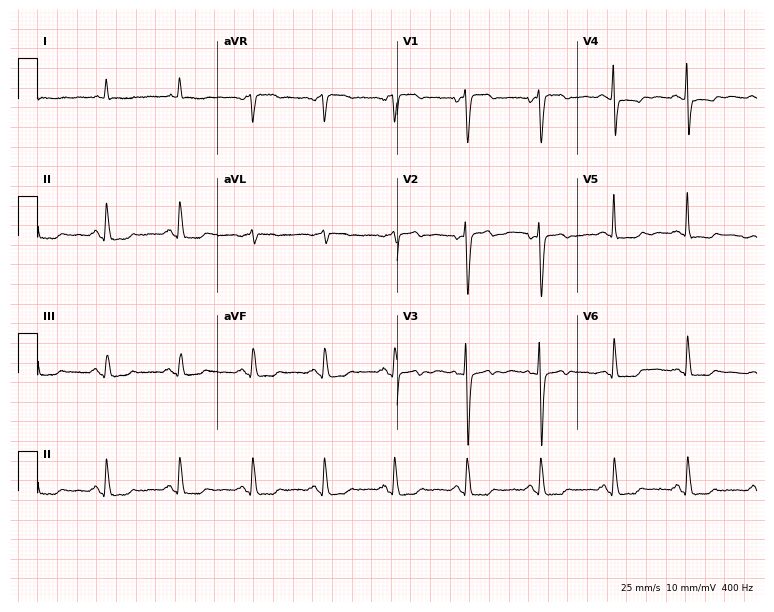
12-lead ECG (7.3-second recording at 400 Hz) from a 53-year-old female patient. Screened for six findings — first-degree AV block, right bundle branch block, left bundle branch block, sinus bradycardia, atrial fibrillation, sinus tachycardia — none is recorded.